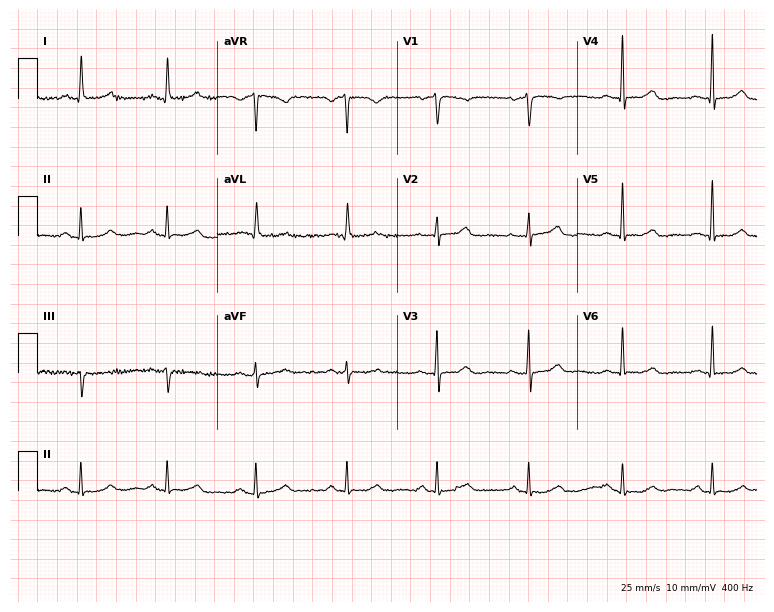
Resting 12-lead electrocardiogram. Patient: a 65-year-old female. None of these six findings is recorded: first-degree AV block, right bundle branch block, left bundle branch block, sinus bradycardia, atrial fibrillation, sinus tachycardia.